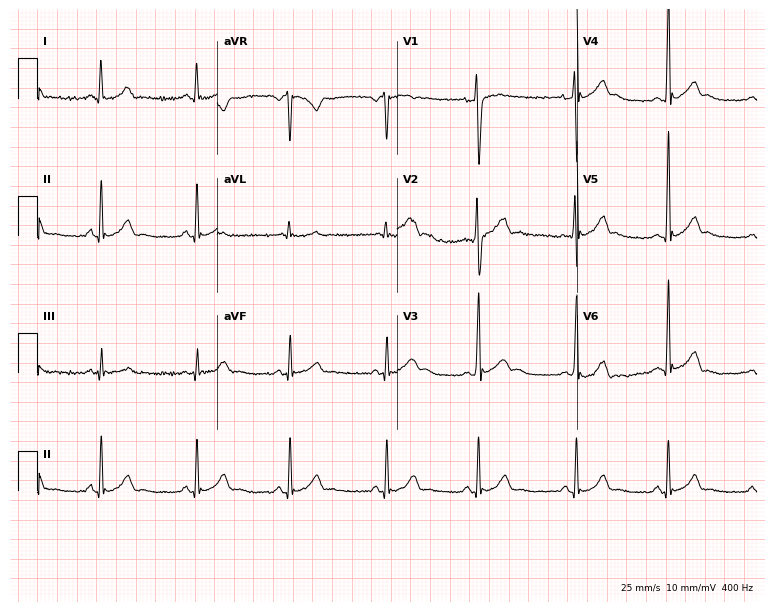
Standard 12-lead ECG recorded from a male patient, 18 years old (7.3-second recording at 400 Hz). Read as a normal ECG.